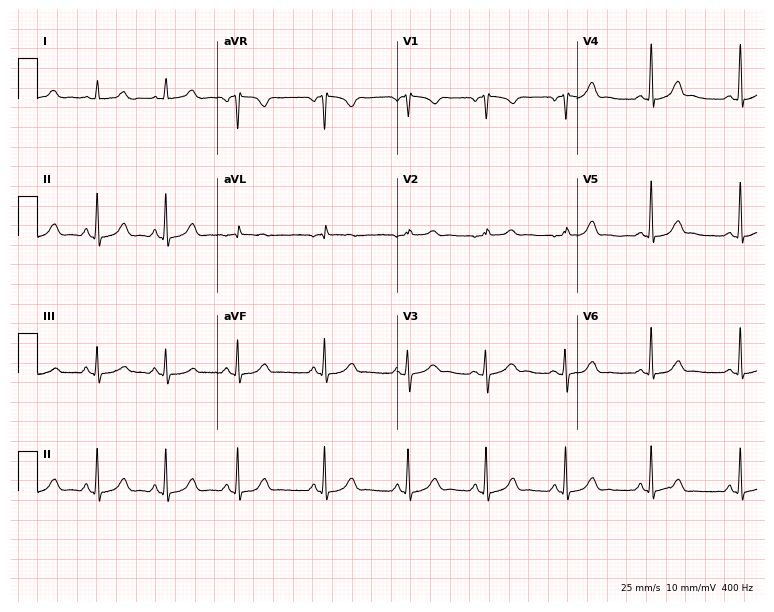
ECG (7.3-second recording at 400 Hz) — a female patient, 32 years old. Labelled as a normal ECG.